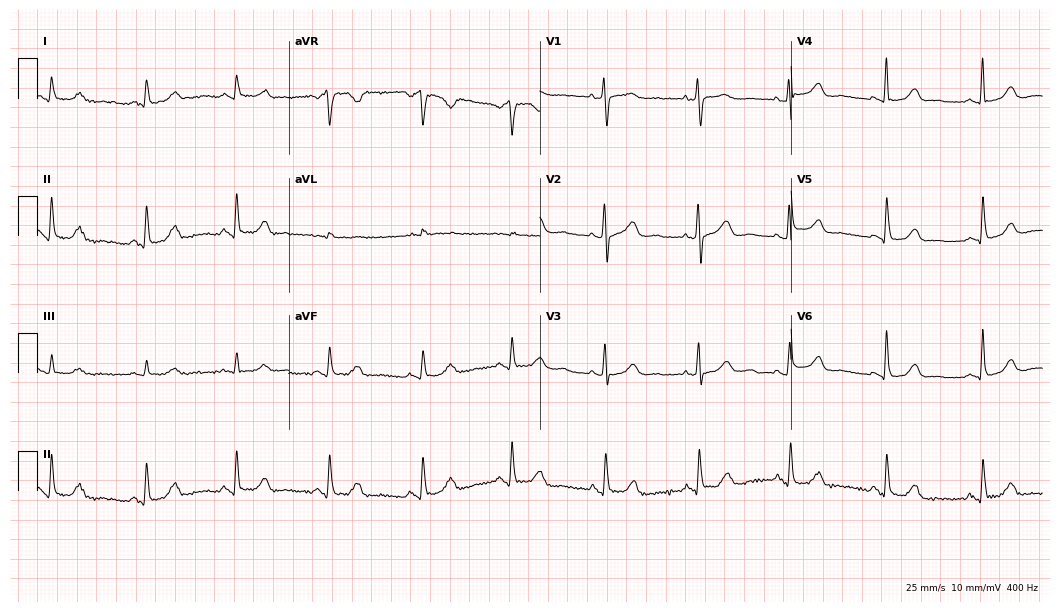
12-lead ECG from a 60-year-old woman (10.2-second recording at 400 Hz). Recorded interpretation: within normal limits.